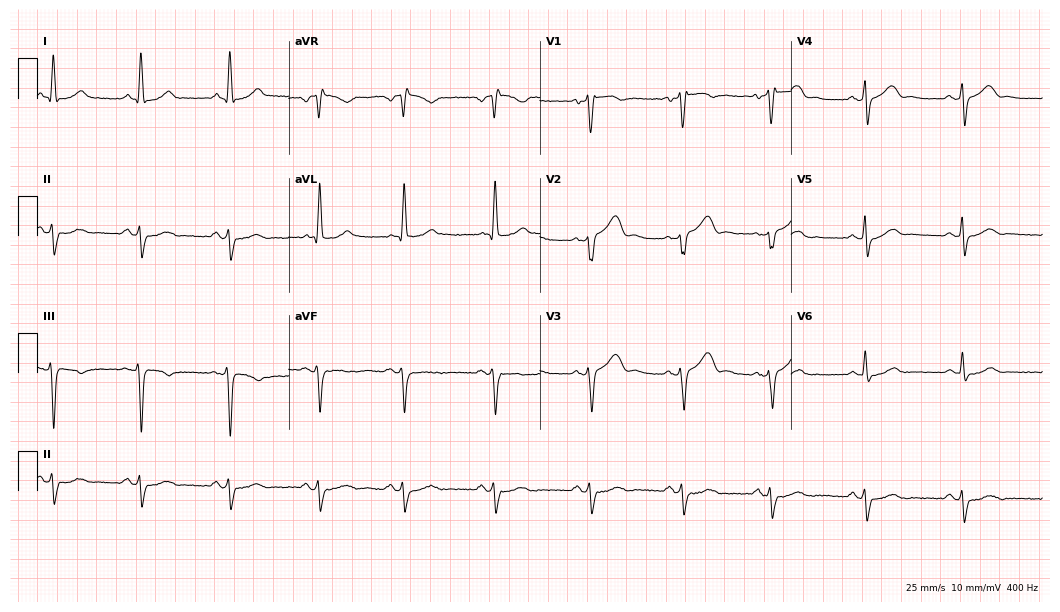
Electrocardiogram, a male, 64 years old. Of the six screened findings (first-degree AV block, right bundle branch block, left bundle branch block, sinus bradycardia, atrial fibrillation, sinus tachycardia), none is recorded.